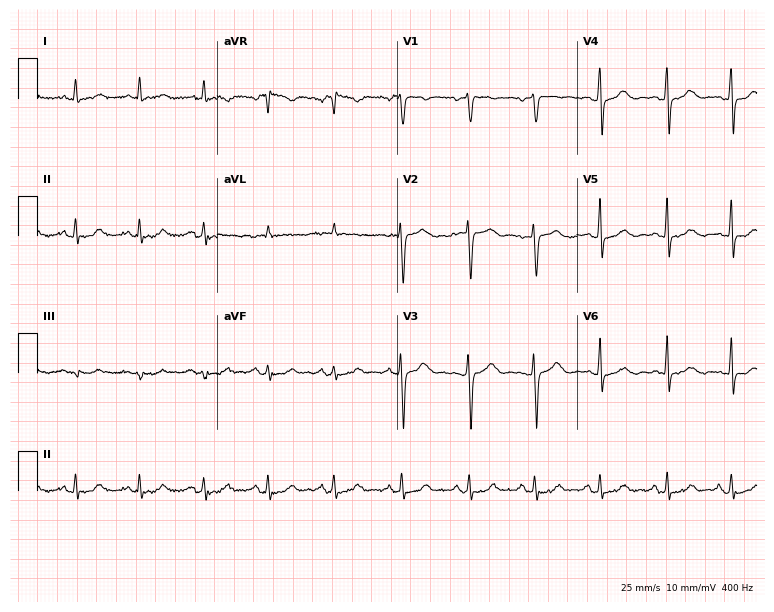
12-lead ECG from a 47-year-old female patient (7.3-second recording at 400 Hz). No first-degree AV block, right bundle branch block, left bundle branch block, sinus bradycardia, atrial fibrillation or sinus tachycardia recorded for this tracing. Only these six findings were labelled.